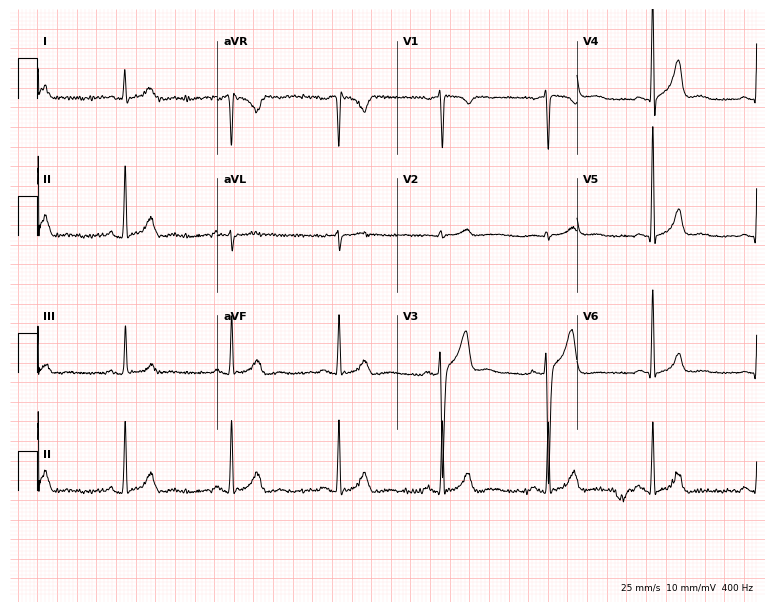
Electrocardiogram (7.3-second recording at 400 Hz), a male patient, 50 years old. Overall reading on record: normal ECG.